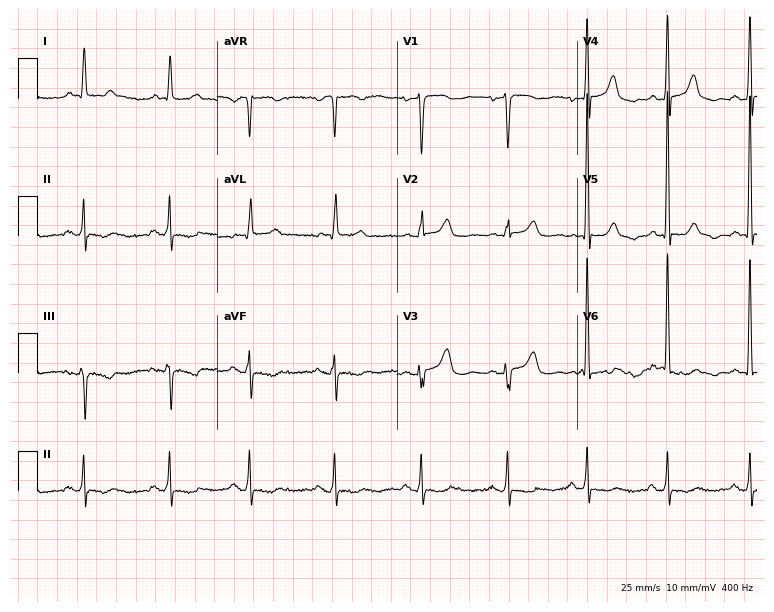
Resting 12-lead electrocardiogram (7.3-second recording at 400 Hz). Patient: a 69-year-old female. None of these six findings is recorded: first-degree AV block, right bundle branch block, left bundle branch block, sinus bradycardia, atrial fibrillation, sinus tachycardia.